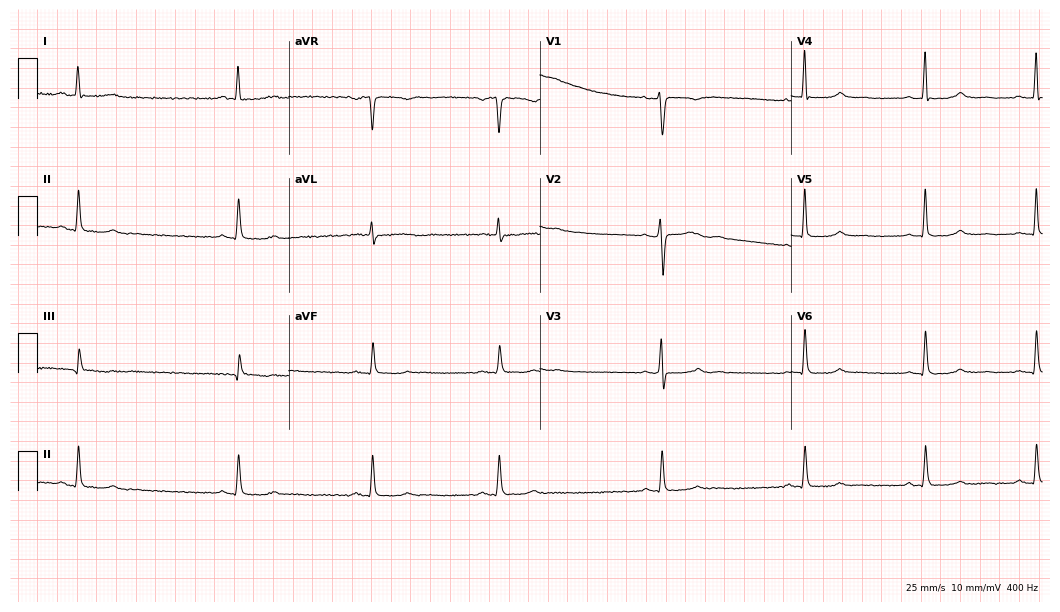
Electrocardiogram, a female, 43 years old. Of the six screened findings (first-degree AV block, right bundle branch block, left bundle branch block, sinus bradycardia, atrial fibrillation, sinus tachycardia), none is recorded.